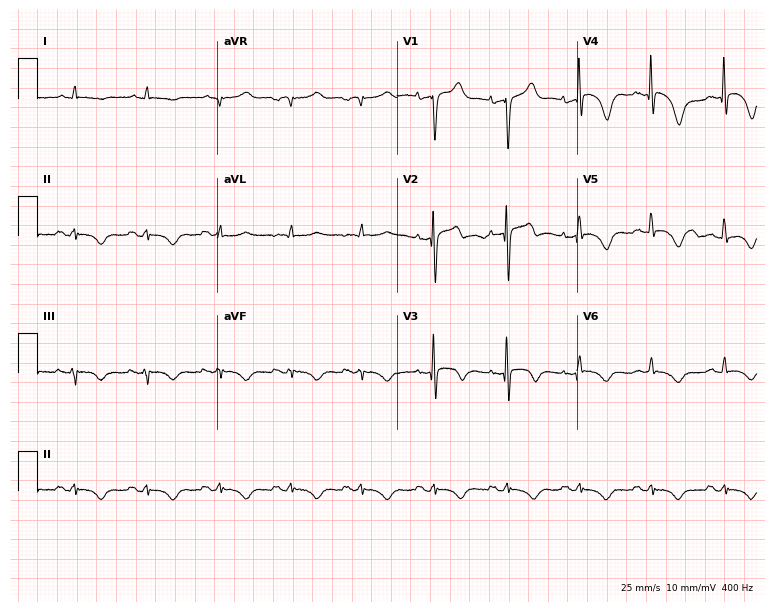
Electrocardiogram (7.3-second recording at 400 Hz), an 82-year-old male patient. Of the six screened findings (first-degree AV block, right bundle branch block (RBBB), left bundle branch block (LBBB), sinus bradycardia, atrial fibrillation (AF), sinus tachycardia), none is recorded. Other findings, if any, are not listed.